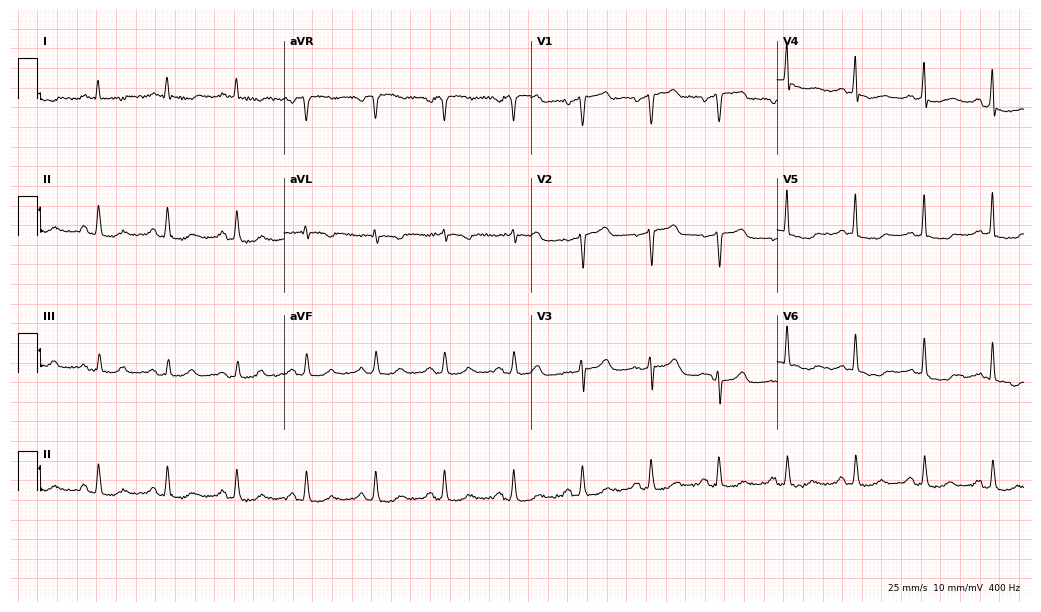
12-lead ECG (10.1-second recording at 400 Hz) from a male patient, 66 years old. Screened for six findings — first-degree AV block, right bundle branch block, left bundle branch block, sinus bradycardia, atrial fibrillation, sinus tachycardia — none is recorded. Other findings, if any, are not listed.